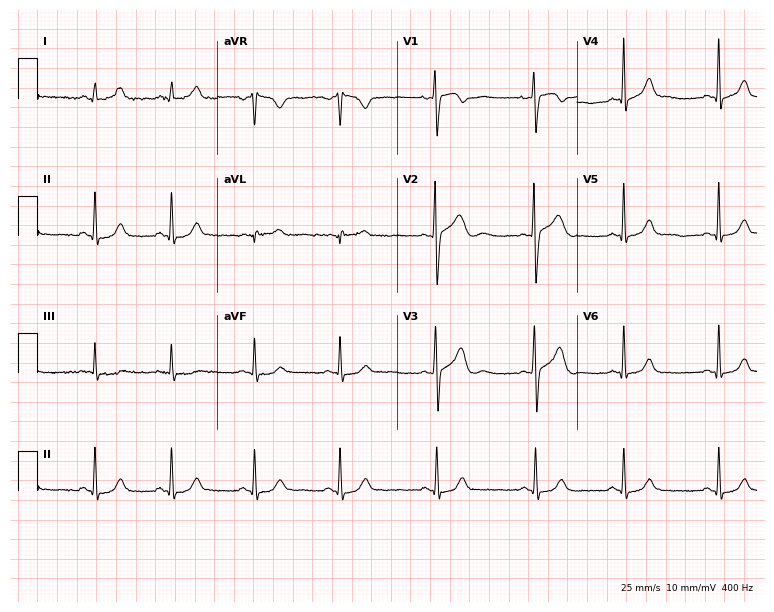
12-lead ECG from a 32-year-old female patient. Recorded interpretation: within normal limits.